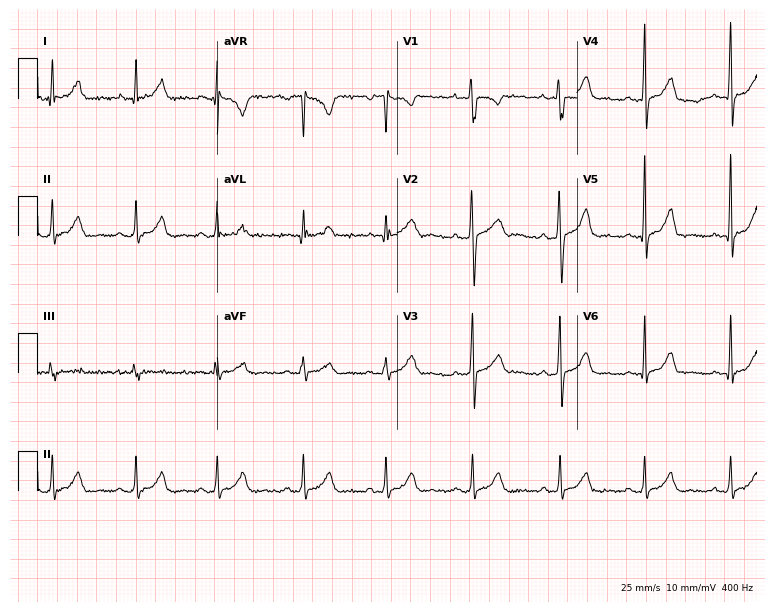
12-lead ECG from a female patient, 26 years old. Screened for six findings — first-degree AV block, right bundle branch block, left bundle branch block, sinus bradycardia, atrial fibrillation, sinus tachycardia — none is recorded.